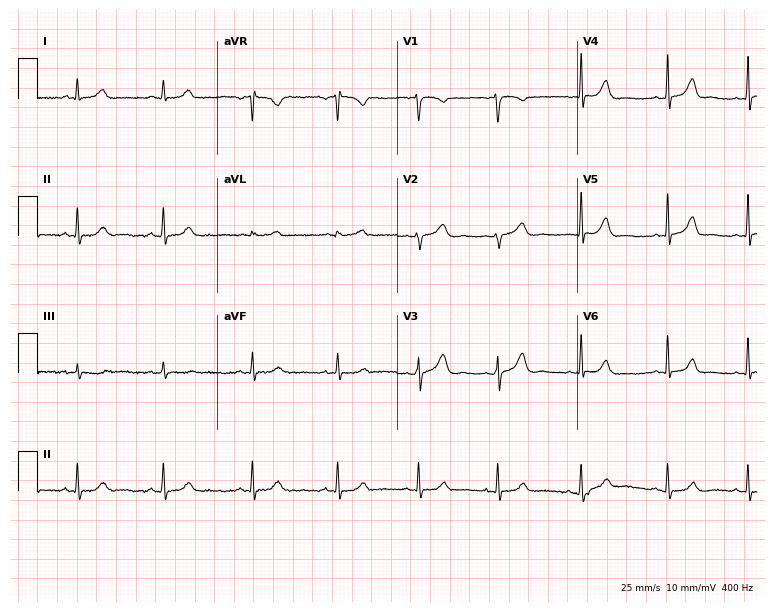
12-lead ECG from a female patient, 27 years old. No first-degree AV block, right bundle branch block, left bundle branch block, sinus bradycardia, atrial fibrillation or sinus tachycardia recorded for this tracing.